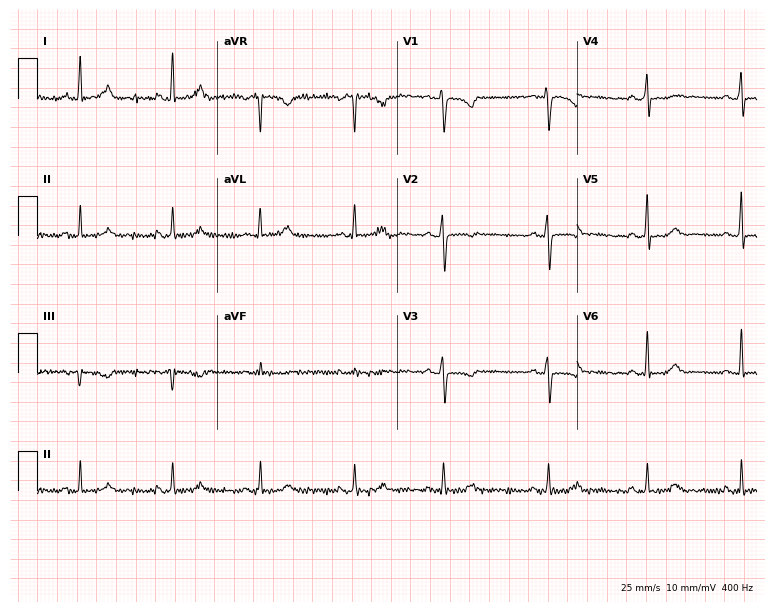
12-lead ECG (7.3-second recording at 400 Hz) from a female patient, 34 years old. Screened for six findings — first-degree AV block, right bundle branch block, left bundle branch block, sinus bradycardia, atrial fibrillation, sinus tachycardia — none is recorded. Findings outside these six are not listed.